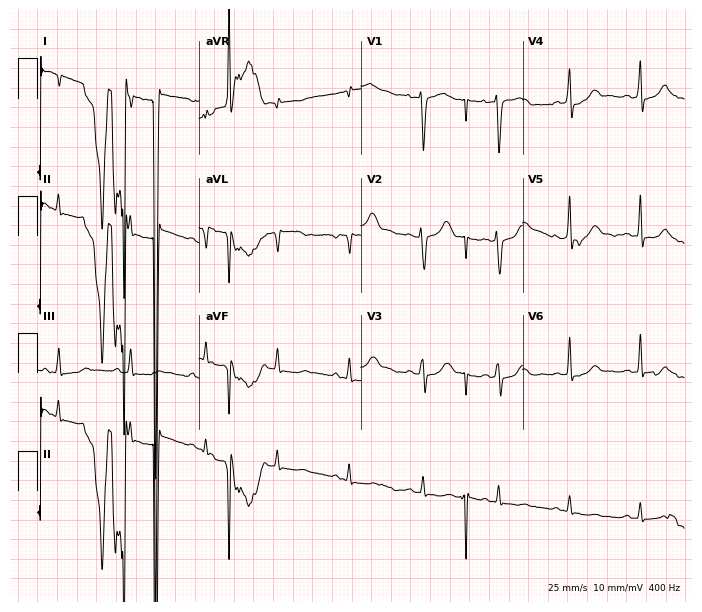
Resting 12-lead electrocardiogram (6.6-second recording at 400 Hz). Patient: a female, 39 years old. None of these six findings is recorded: first-degree AV block, right bundle branch block, left bundle branch block, sinus bradycardia, atrial fibrillation, sinus tachycardia. Only these six findings were labelled.